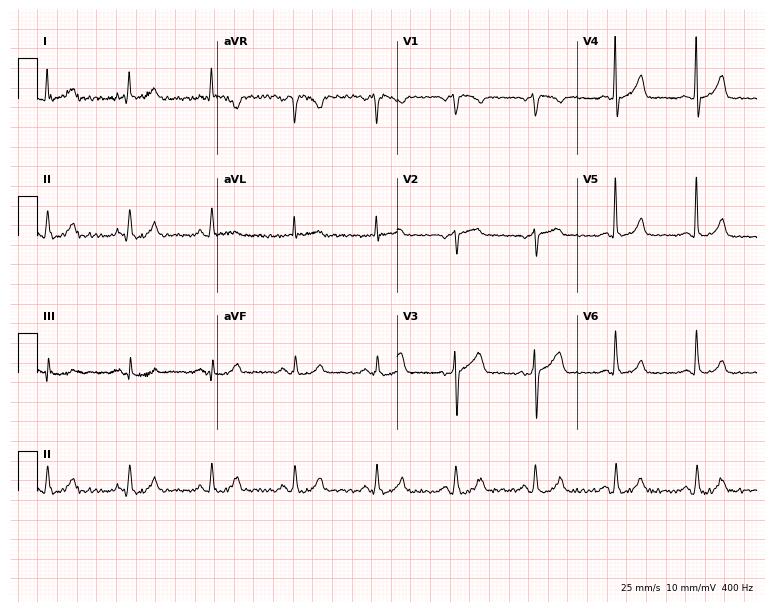
Electrocardiogram (7.3-second recording at 400 Hz), a male, 68 years old. Overall reading on record: normal ECG.